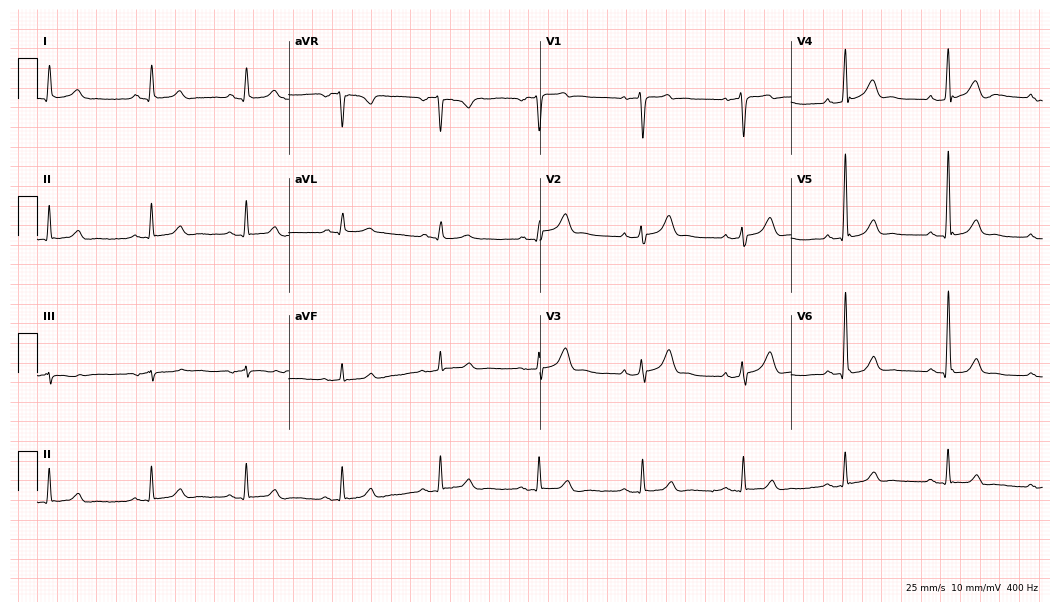
Resting 12-lead electrocardiogram (10.2-second recording at 400 Hz). Patient: a 50-year-old male. Read as a normal ECG.